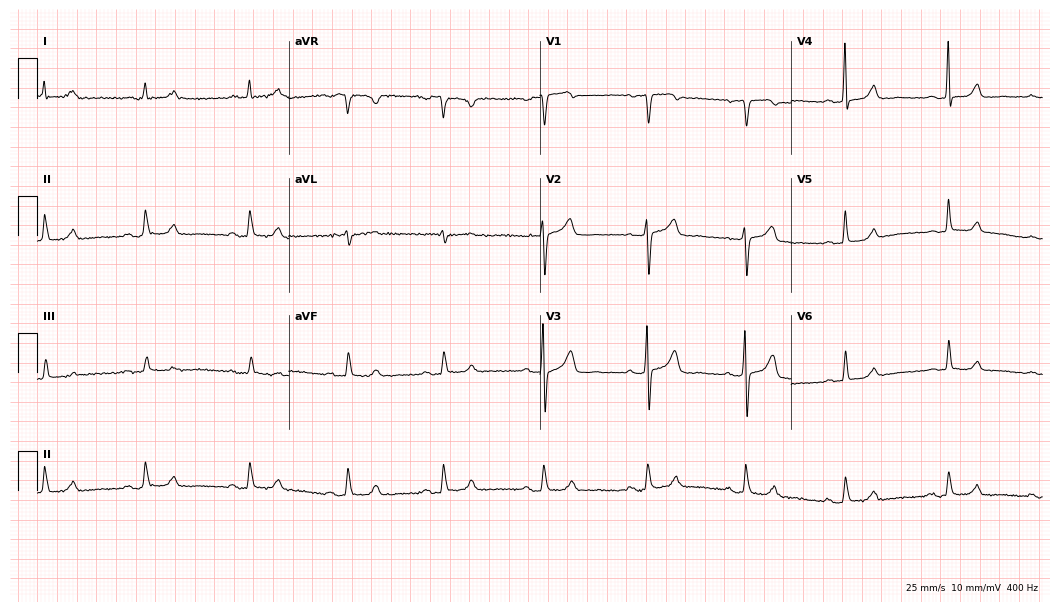
Standard 12-lead ECG recorded from a 75-year-old woman (10.2-second recording at 400 Hz). Read as a normal ECG.